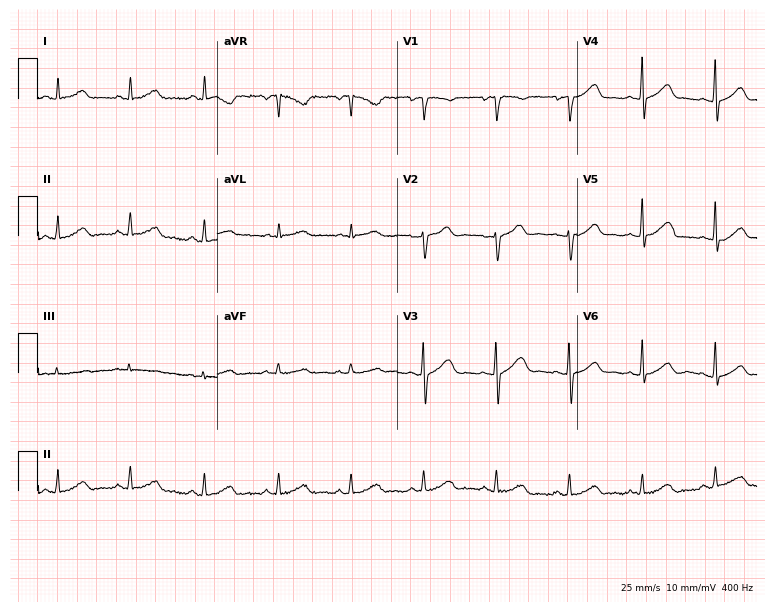
12-lead ECG from a female, 56 years old (7.3-second recording at 400 Hz). Recorded interpretation: within normal limits.